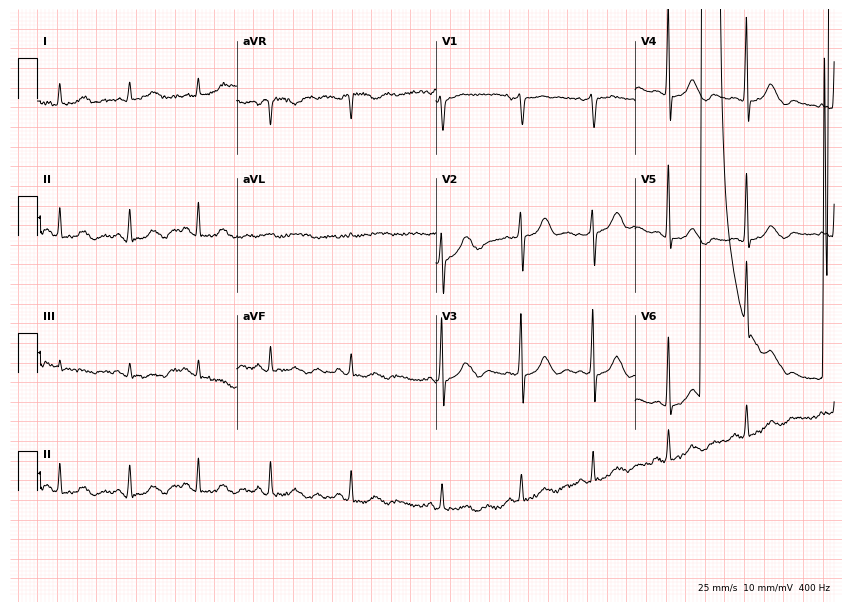
Resting 12-lead electrocardiogram. Patient: a 73-year-old female. None of these six findings is recorded: first-degree AV block, right bundle branch block (RBBB), left bundle branch block (LBBB), sinus bradycardia, atrial fibrillation (AF), sinus tachycardia. Only these six findings were labelled.